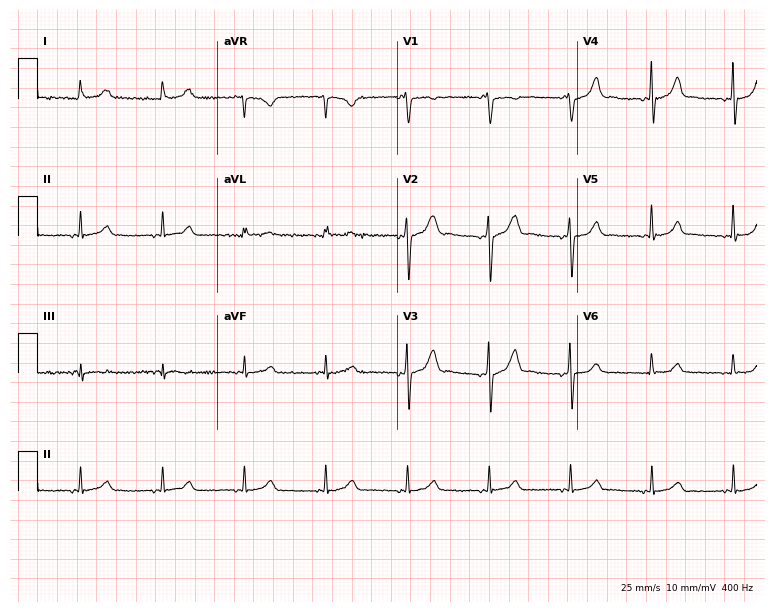
12-lead ECG from a 22-year-old female. No first-degree AV block, right bundle branch block (RBBB), left bundle branch block (LBBB), sinus bradycardia, atrial fibrillation (AF) or sinus tachycardia recorded for this tracing. Findings outside these six are not listed.